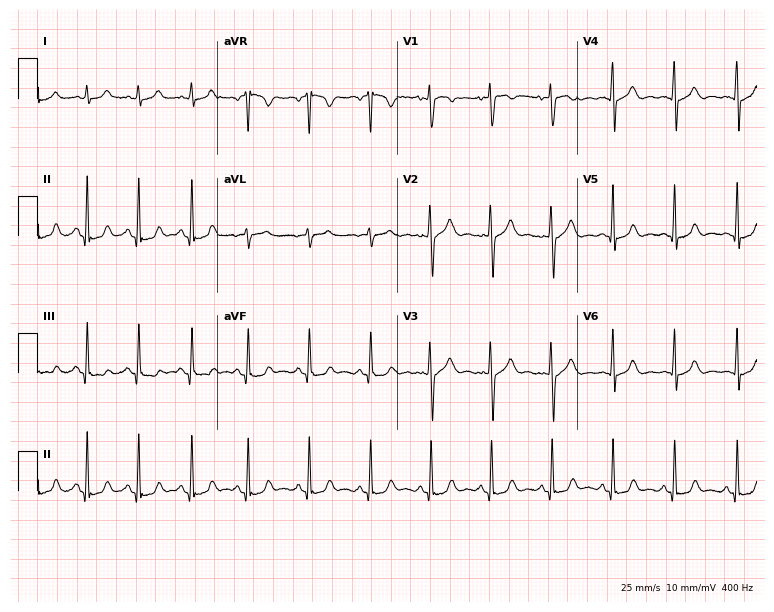
12-lead ECG from a 28-year-old female patient. Recorded interpretation: within normal limits.